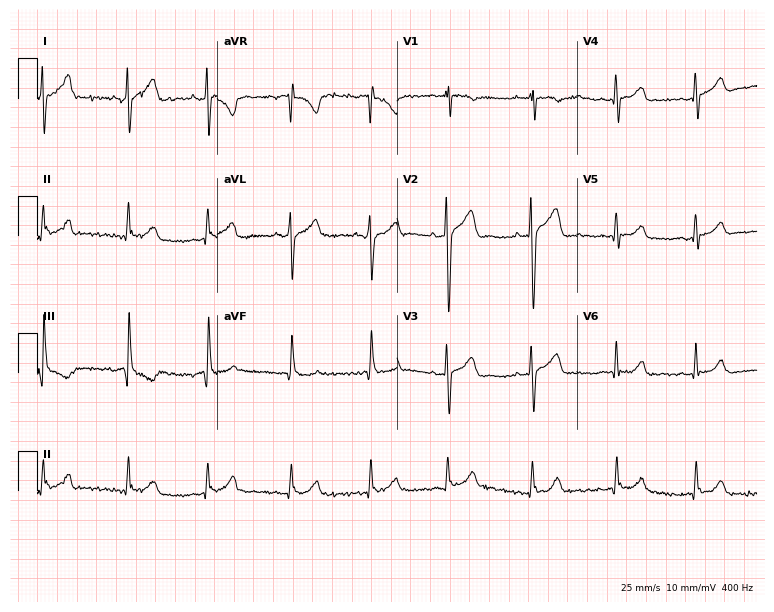
Standard 12-lead ECG recorded from a male patient, 26 years old. None of these six findings is recorded: first-degree AV block, right bundle branch block (RBBB), left bundle branch block (LBBB), sinus bradycardia, atrial fibrillation (AF), sinus tachycardia. Other findings, if any, are not listed.